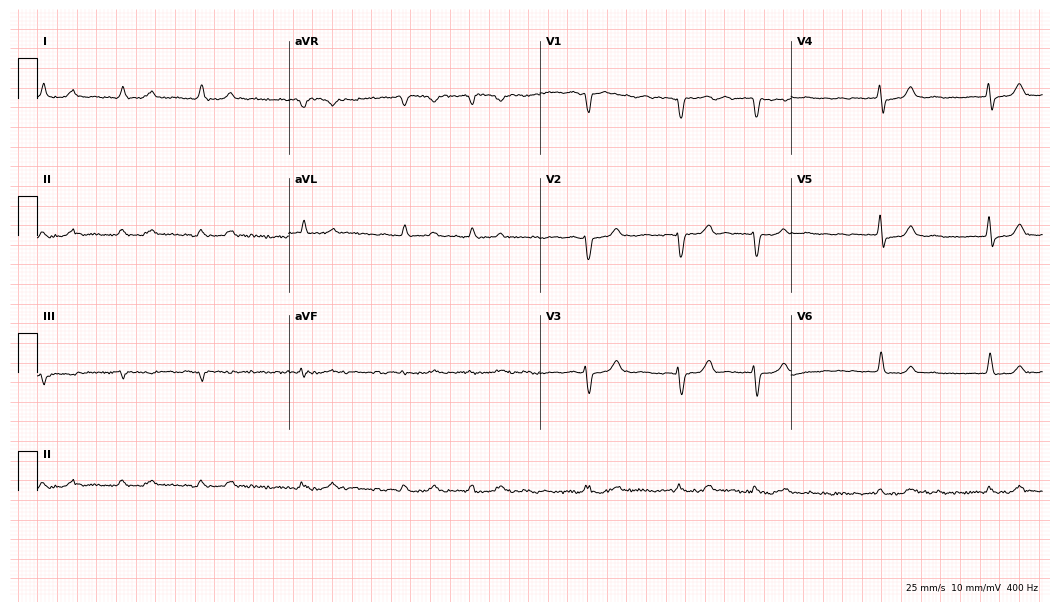
Resting 12-lead electrocardiogram. Patient: a 68-year-old female. The tracing shows atrial fibrillation.